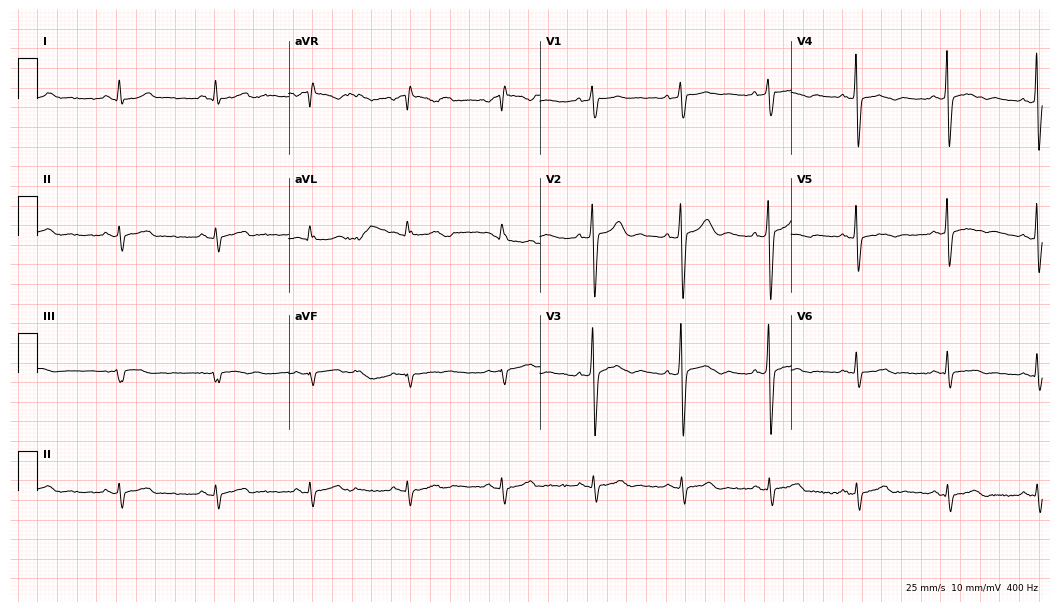
Standard 12-lead ECG recorded from a 58-year-old man (10.2-second recording at 400 Hz). None of these six findings is recorded: first-degree AV block, right bundle branch block, left bundle branch block, sinus bradycardia, atrial fibrillation, sinus tachycardia. Other findings, if any, are not listed.